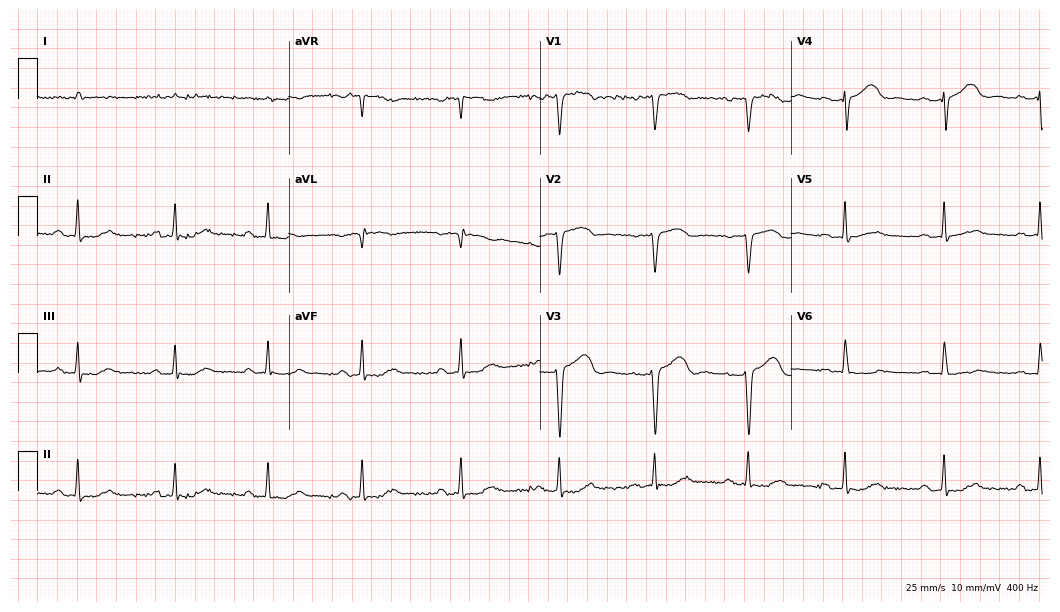
ECG (10.2-second recording at 400 Hz) — a female patient, 82 years old. Findings include first-degree AV block.